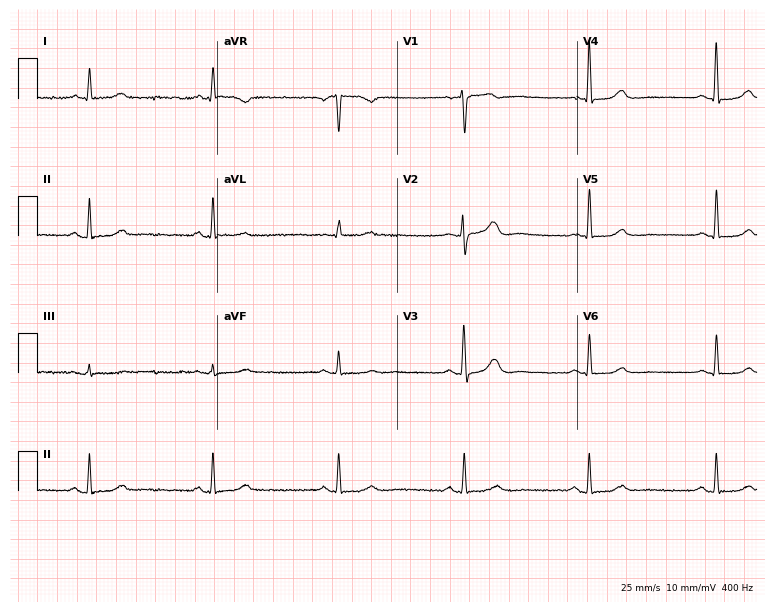
Resting 12-lead electrocardiogram (7.3-second recording at 400 Hz). Patient: a female, 72 years old. The tracing shows sinus bradycardia (a sinus rate of 50 beats per minute or less).